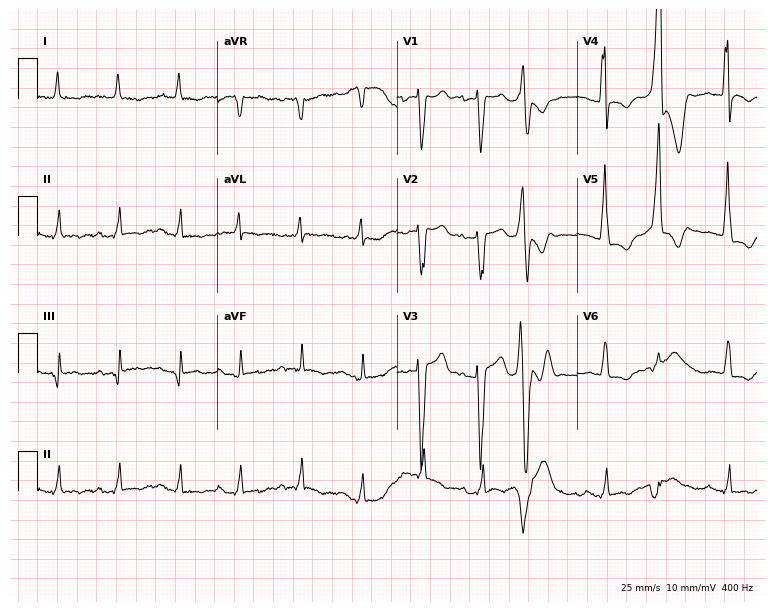
12-lead ECG from a male patient, 78 years old. Screened for six findings — first-degree AV block, right bundle branch block, left bundle branch block, sinus bradycardia, atrial fibrillation, sinus tachycardia — none is recorded. Other findings, if any, are not listed.